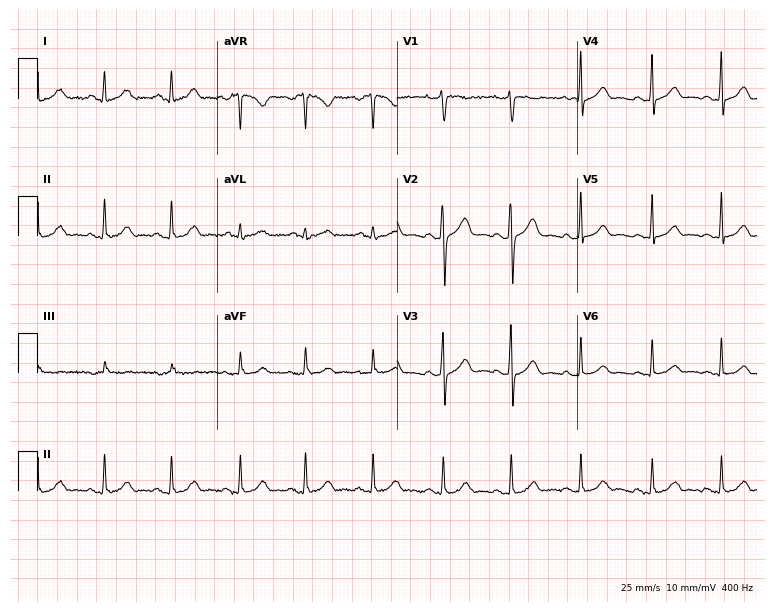
Resting 12-lead electrocardiogram (7.3-second recording at 400 Hz). Patient: a woman, 25 years old. Read as a normal ECG.